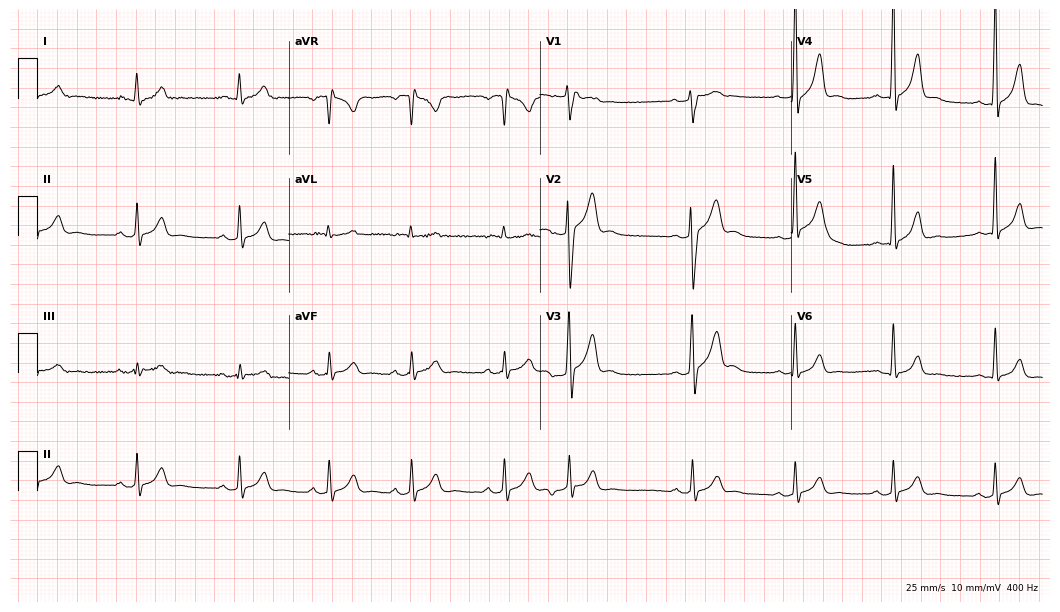
Resting 12-lead electrocardiogram (10.2-second recording at 400 Hz). Patient: a 19-year-old man. Read as a normal ECG.